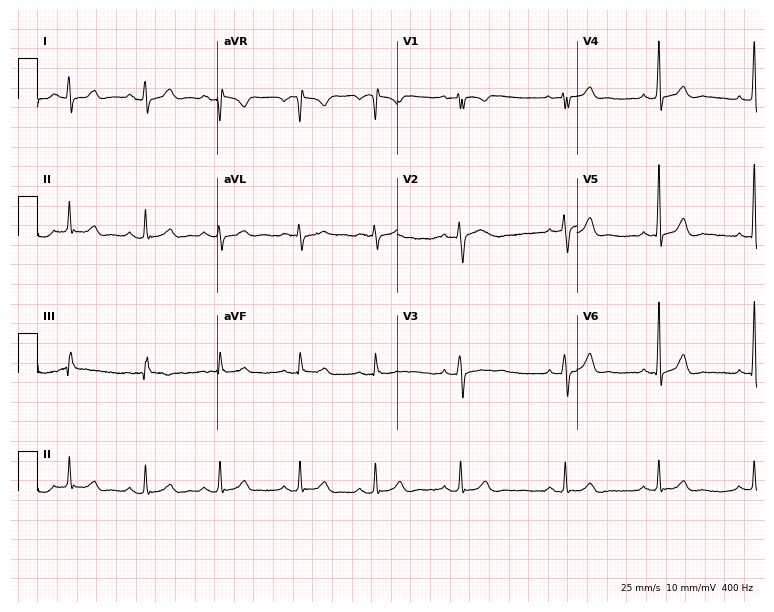
Electrocardiogram (7.3-second recording at 400 Hz), a woman, 20 years old. Overall reading on record: normal ECG.